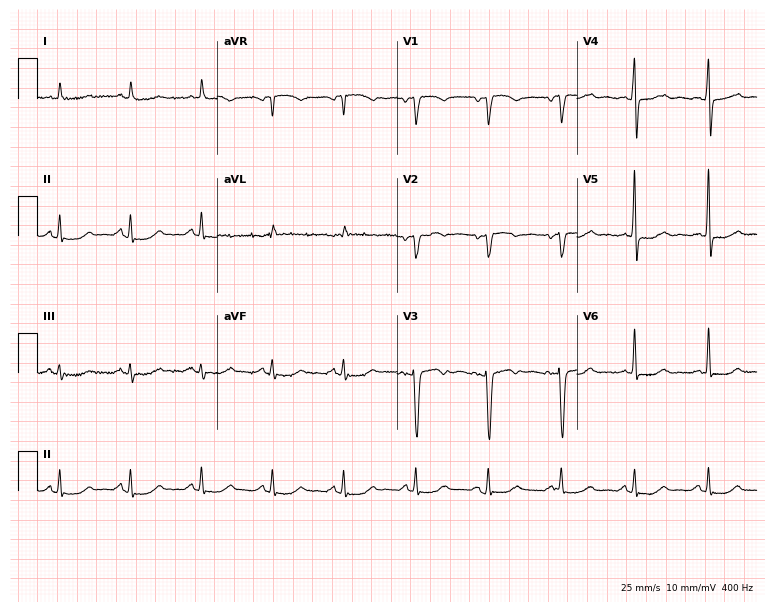
Electrocardiogram, a 52-year-old female. Of the six screened findings (first-degree AV block, right bundle branch block, left bundle branch block, sinus bradycardia, atrial fibrillation, sinus tachycardia), none is recorded.